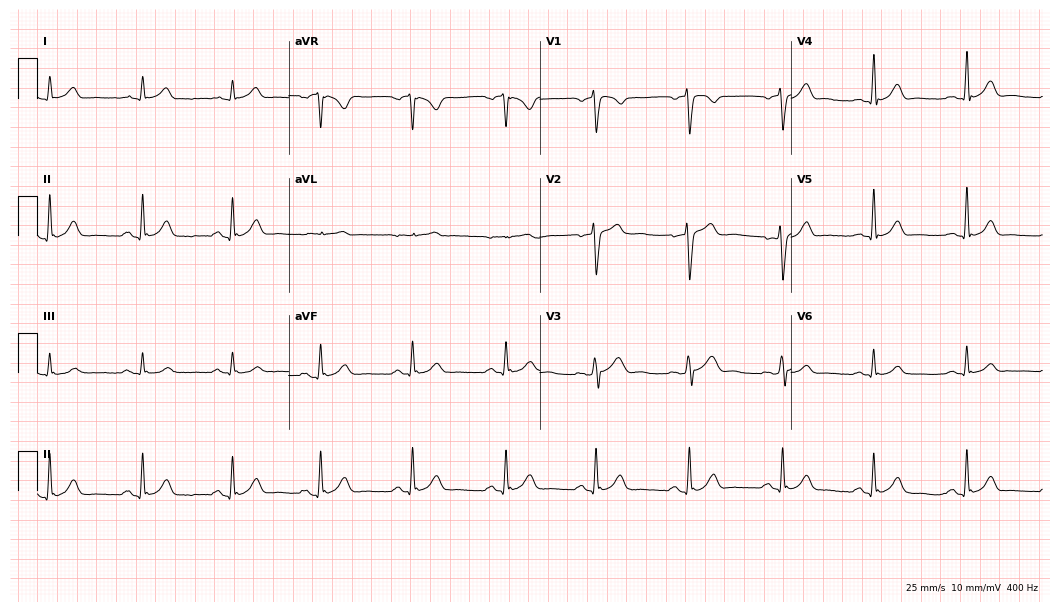
Electrocardiogram, a 45-year-old male. Overall reading on record: normal ECG.